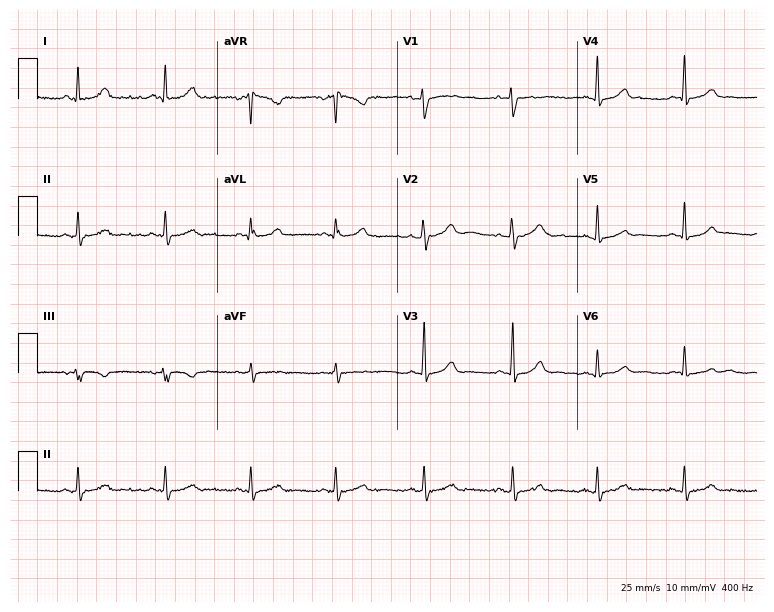
12-lead ECG from a woman, 49 years old. Recorded interpretation: within normal limits.